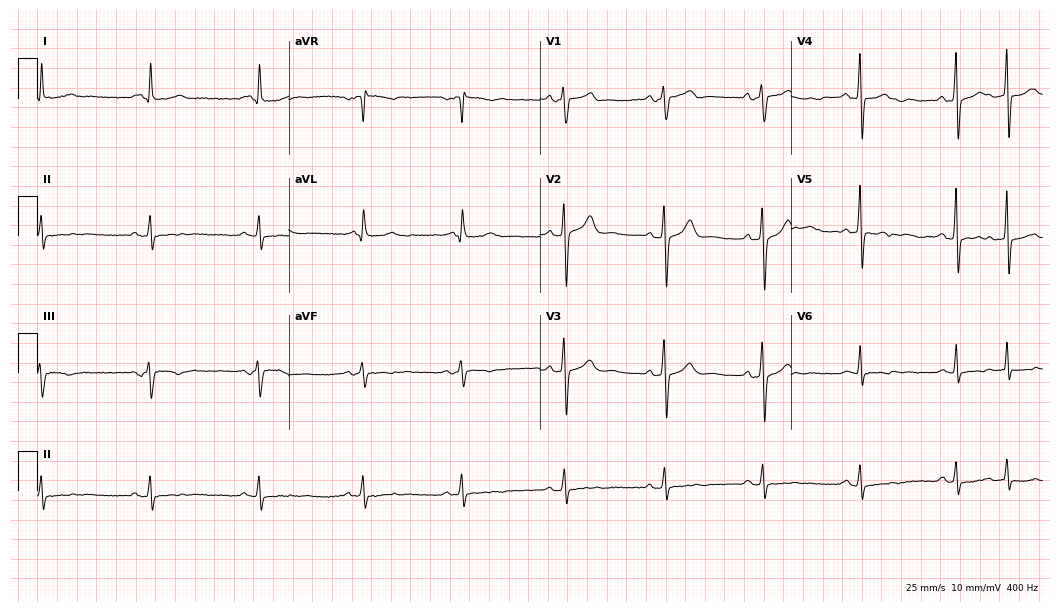
12-lead ECG from a man, 50 years old. Screened for six findings — first-degree AV block, right bundle branch block (RBBB), left bundle branch block (LBBB), sinus bradycardia, atrial fibrillation (AF), sinus tachycardia — none is recorded.